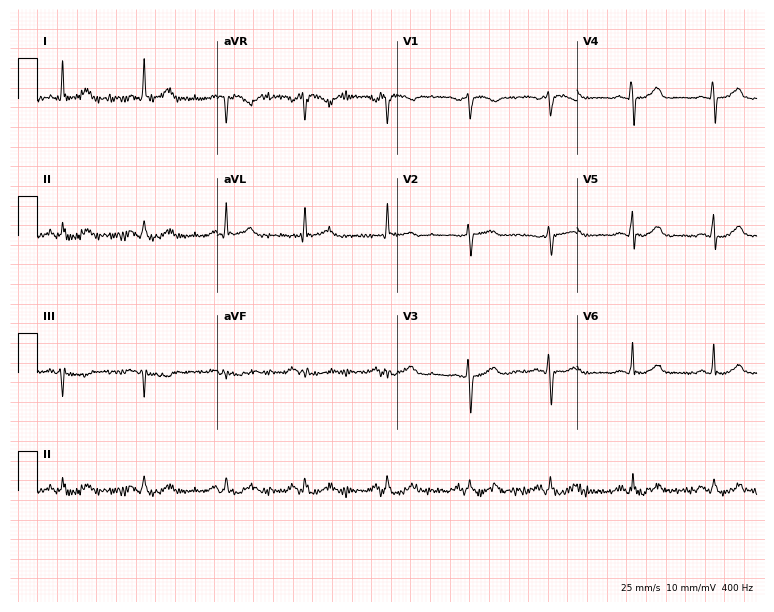
12-lead ECG from a 77-year-old female. Recorded interpretation: within normal limits.